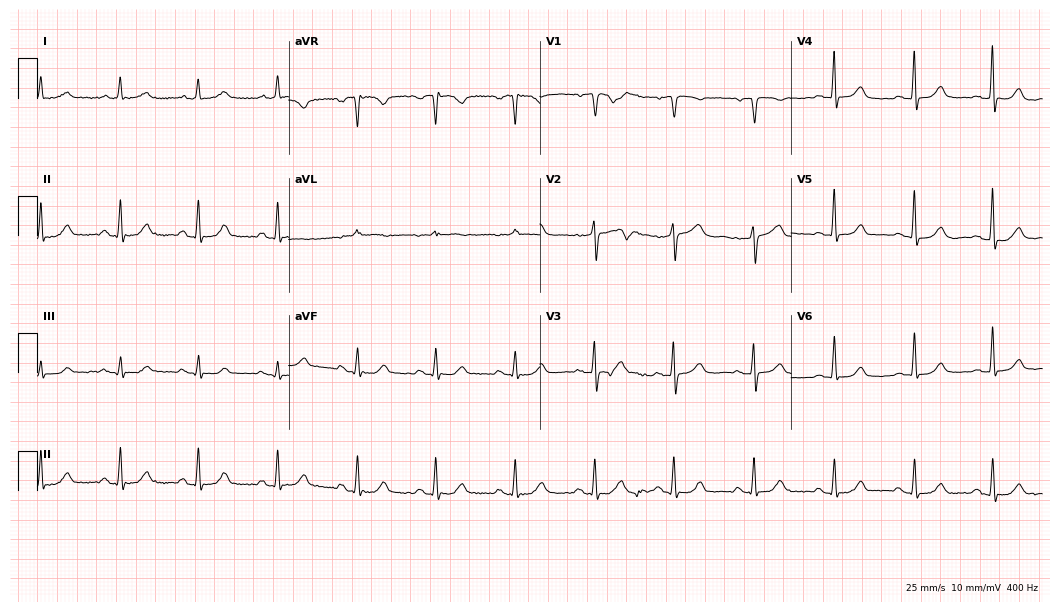
Standard 12-lead ECG recorded from a 66-year-old woman (10.2-second recording at 400 Hz). Read as a normal ECG.